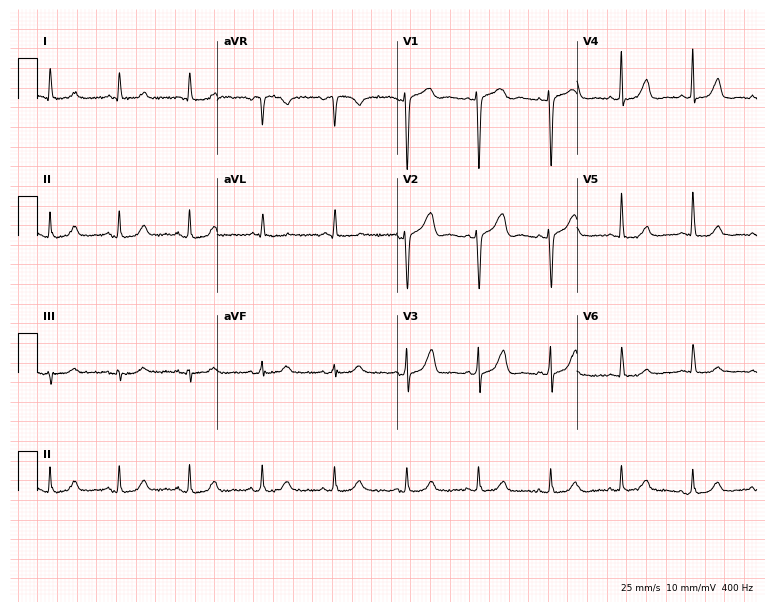
12-lead ECG from a 62-year-old female patient. No first-degree AV block, right bundle branch block, left bundle branch block, sinus bradycardia, atrial fibrillation or sinus tachycardia recorded for this tracing.